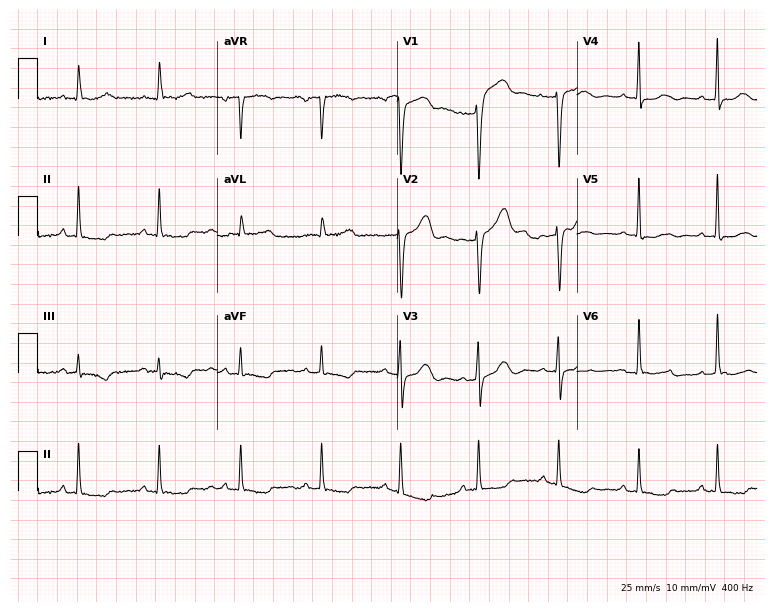
12-lead ECG from an 80-year-old female. No first-degree AV block, right bundle branch block, left bundle branch block, sinus bradycardia, atrial fibrillation or sinus tachycardia recorded for this tracing.